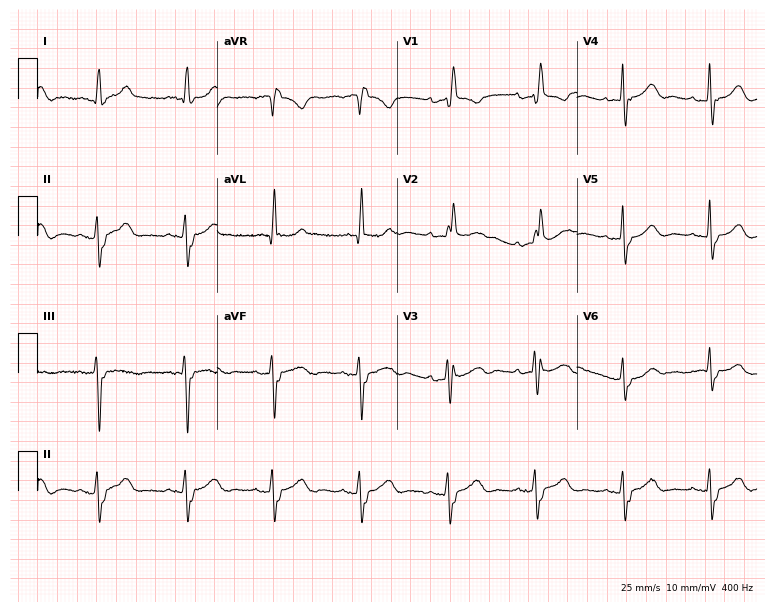
ECG — an 83-year-old female patient. Findings include right bundle branch block.